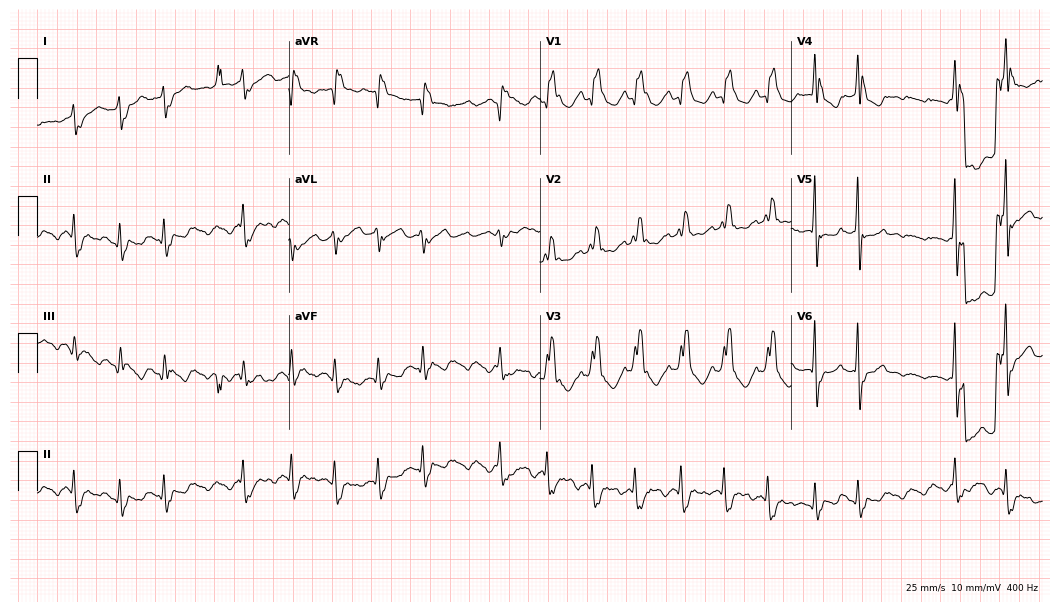
12-lead ECG (10.2-second recording at 400 Hz) from a woman, 77 years old. Screened for six findings — first-degree AV block, right bundle branch block, left bundle branch block, sinus bradycardia, atrial fibrillation, sinus tachycardia — none is recorded.